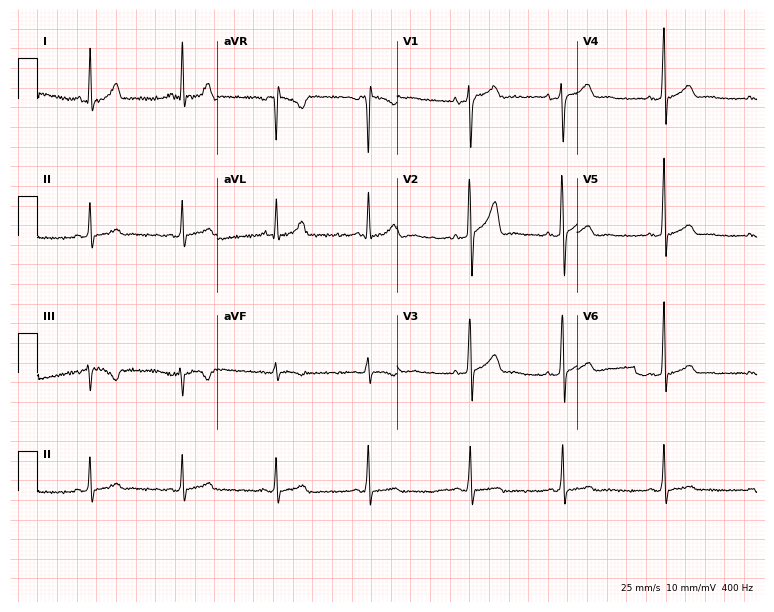
Standard 12-lead ECG recorded from a 27-year-old male patient. Read as a normal ECG.